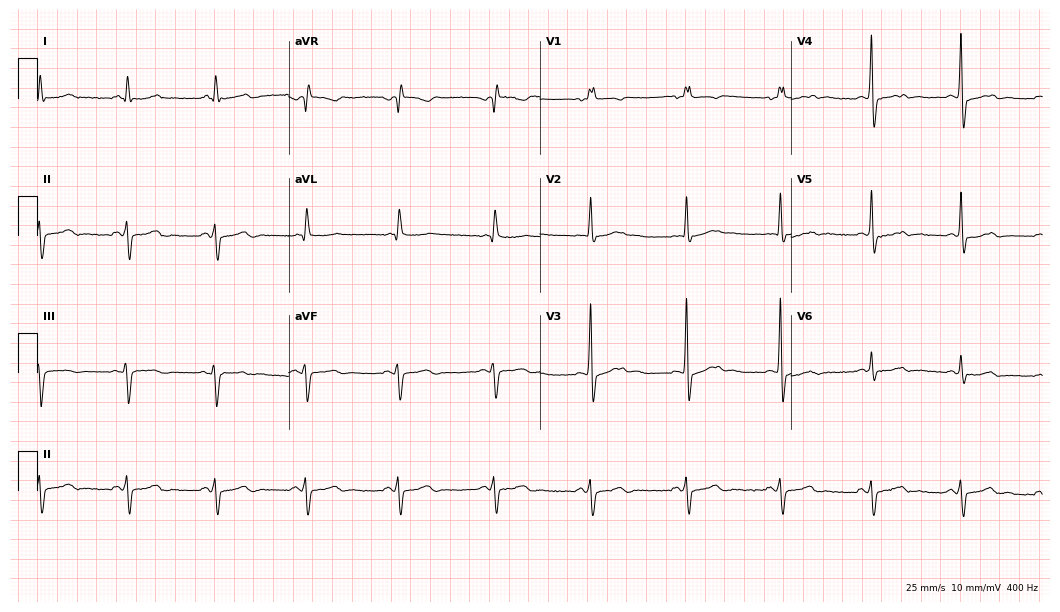
Electrocardiogram, a male, 68 years old. Of the six screened findings (first-degree AV block, right bundle branch block (RBBB), left bundle branch block (LBBB), sinus bradycardia, atrial fibrillation (AF), sinus tachycardia), none is recorded. Findings outside these six are not listed.